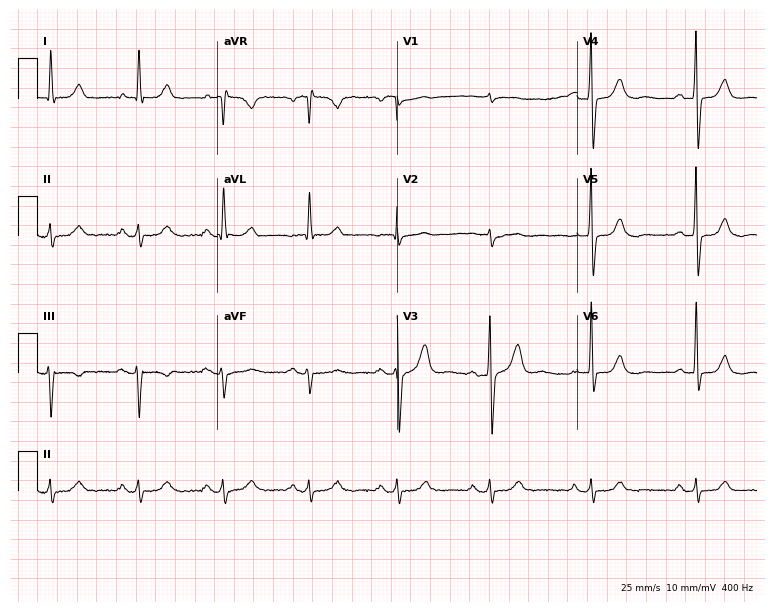
Electrocardiogram, an 81-year-old male patient. Overall reading on record: normal ECG.